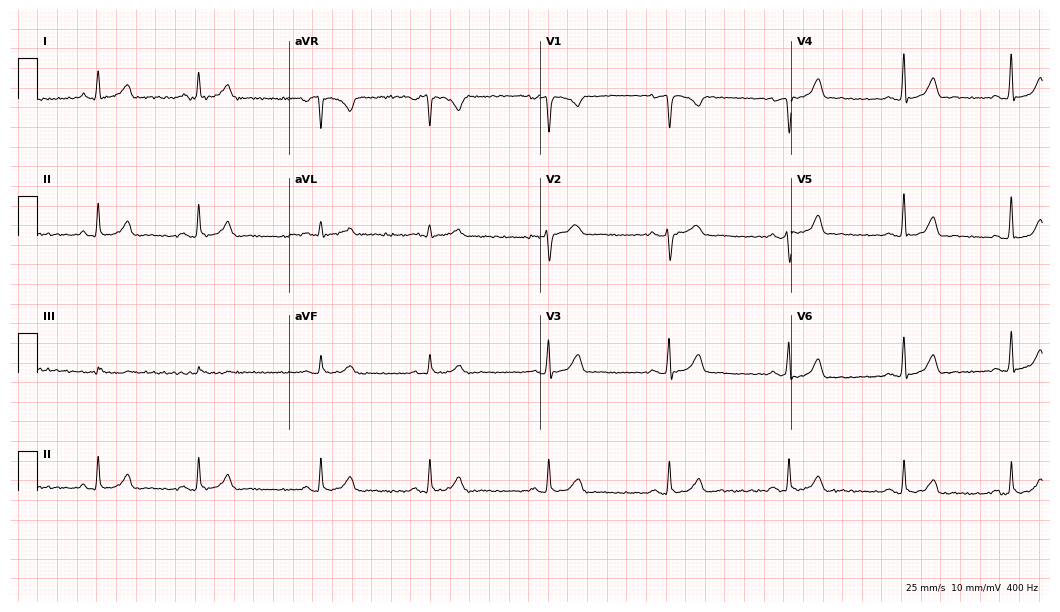
ECG (10.2-second recording at 400 Hz) — a woman, 33 years old. Labelled as a normal ECG.